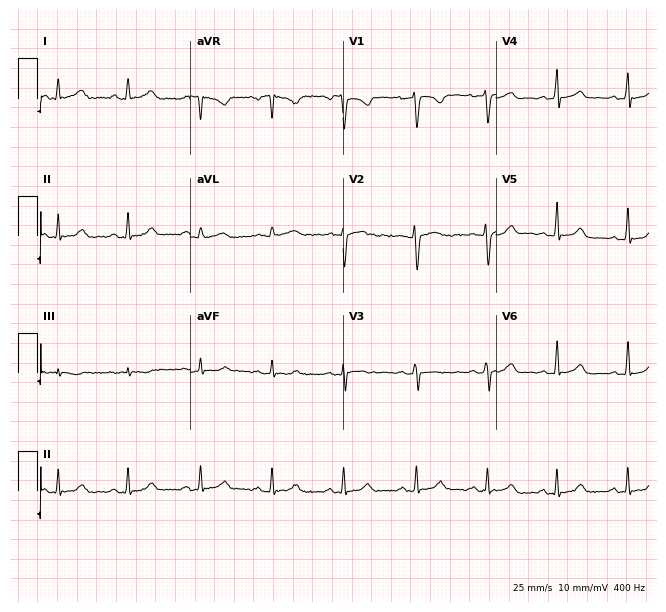
12-lead ECG from a female, 23 years old (6.2-second recording at 400 Hz). Recorded interpretation: within normal limits.